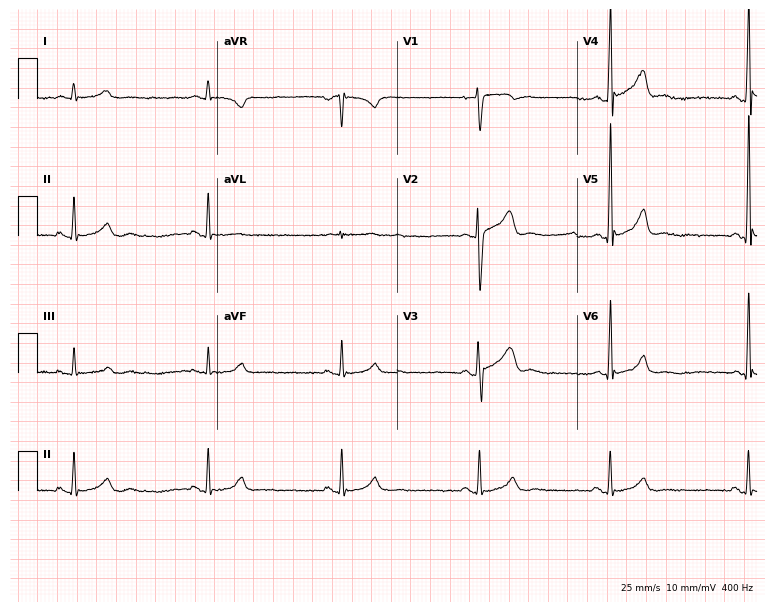
Resting 12-lead electrocardiogram. Patient: a male, 53 years old. The tracing shows sinus bradycardia (a sinus rate of 50 beats per minute or less).